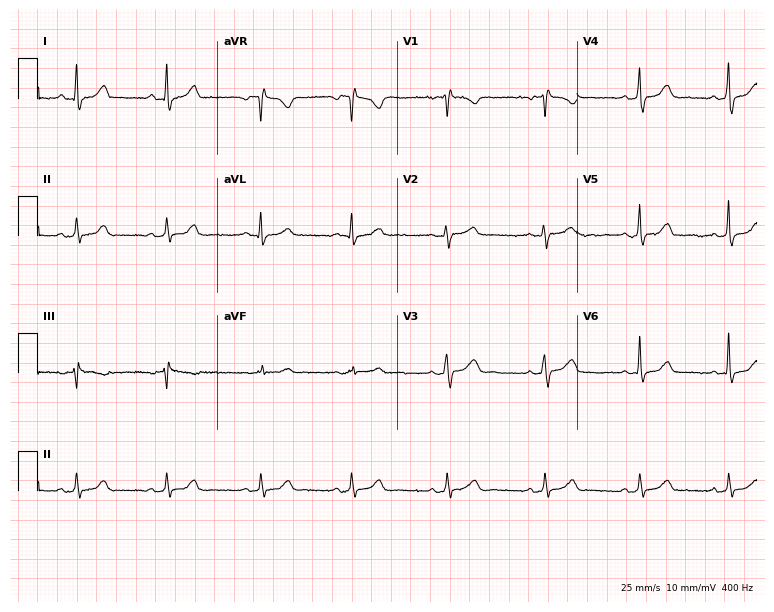
Electrocardiogram (7.3-second recording at 400 Hz), a 35-year-old woman. Of the six screened findings (first-degree AV block, right bundle branch block, left bundle branch block, sinus bradycardia, atrial fibrillation, sinus tachycardia), none is recorded. Findings outside these six are not listed.